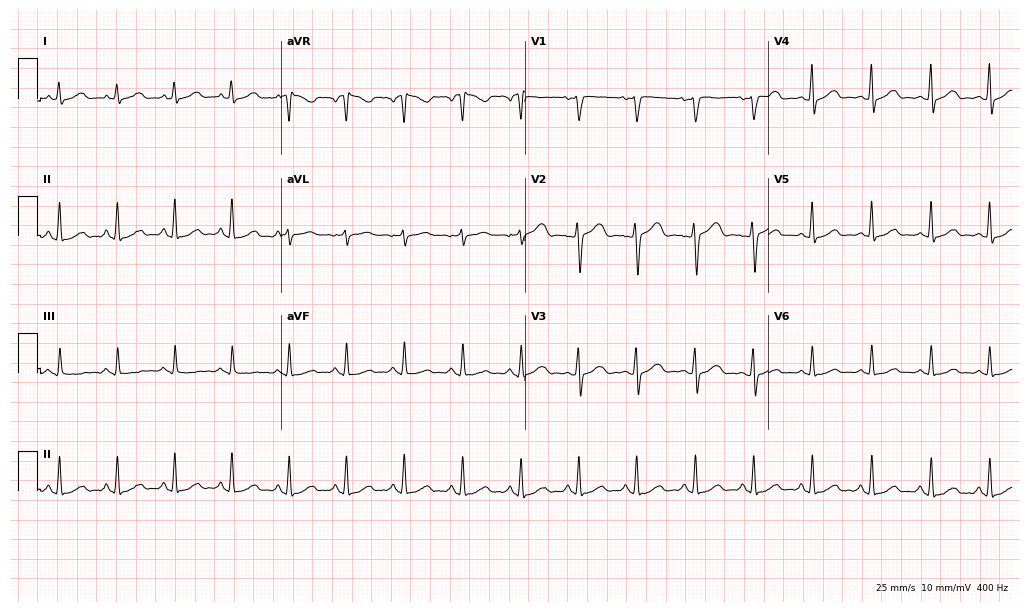
12-lead ECG from a female patient, 29 years old. Shows sinus tachycardia (a sinus rate of 100 beats per minute or more).